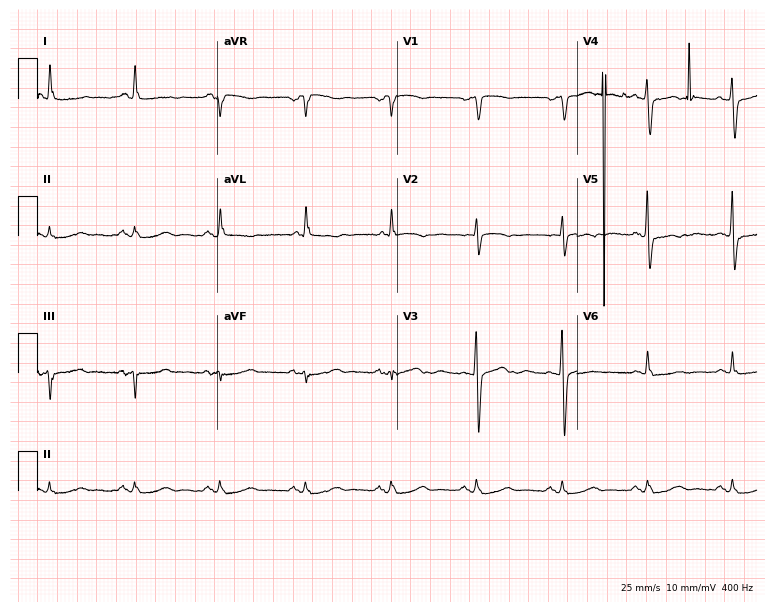
Standard 12-lead ECG recorded from a female, 77 years old (7.3-second recording at 400 Hz). None of these six findings is recorded: first-degree AV block, right bundle branch block, left bundle branch block, sinus bradycardia, atrial fibrillation, sinus tachycardia. Other findings, if any, are not listed.